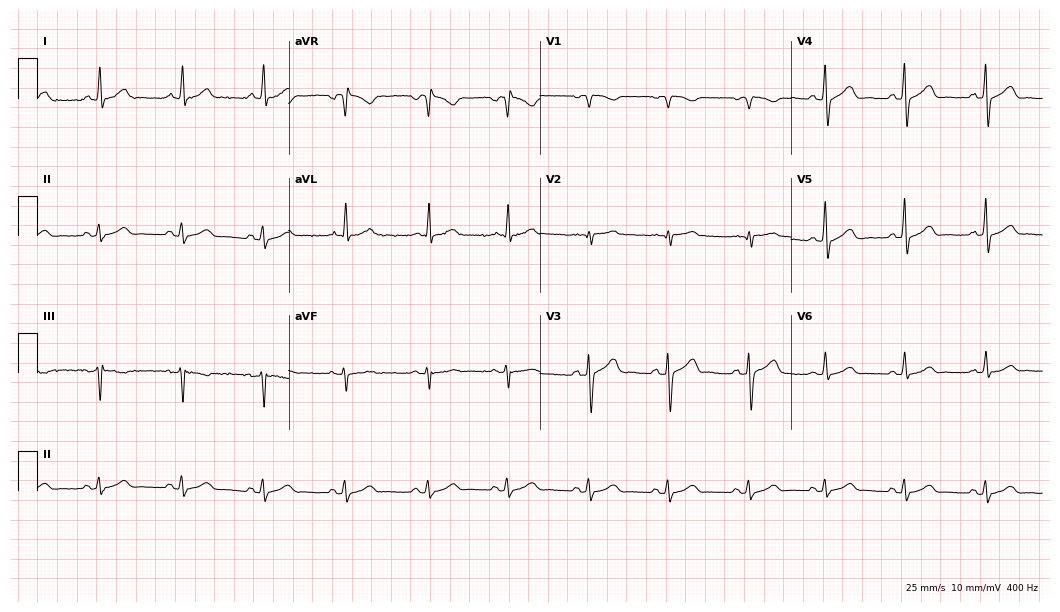
ECG — a 60-year-old male patient. Labelled as a normal ECG.